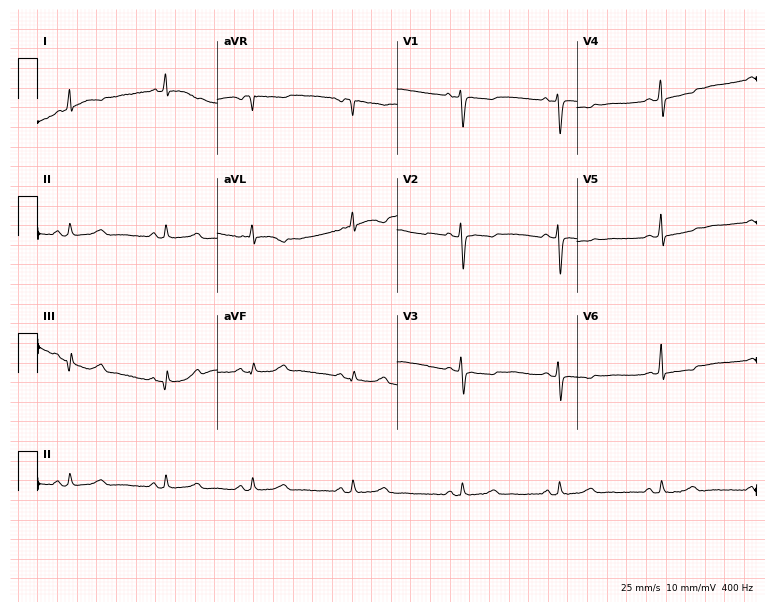
Standard 12-lead ECG recorded from a female, 50 years old (7.3-second recording at 400 Hz). None of these six findings is recorded: first-degree AV block, right bundle branch block, left bundle branch block, sinus bradycardia, atrial fibrillation, sinus tachycardia.